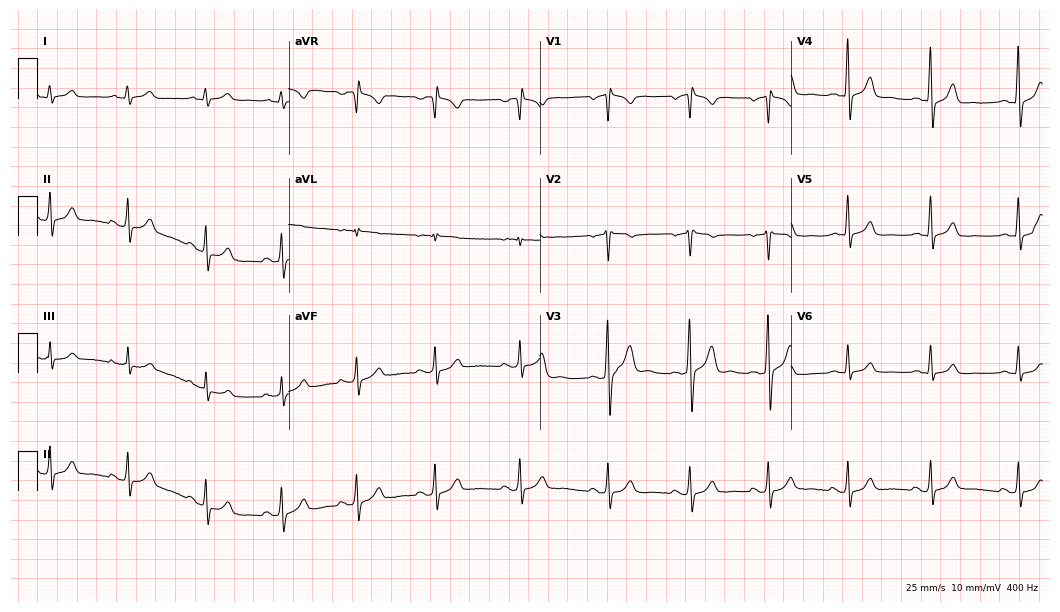
12-lead ECG (10.2-second recording at 400 Hz) from a male patient, 21 years old. Screened for six findings — first-degree AV block, right bundle branch block, left bundle branch block, sinus bradycardia, atrial fibrillation, sinus tachycardia — none is recorded. Other findings, if any, are not listed.